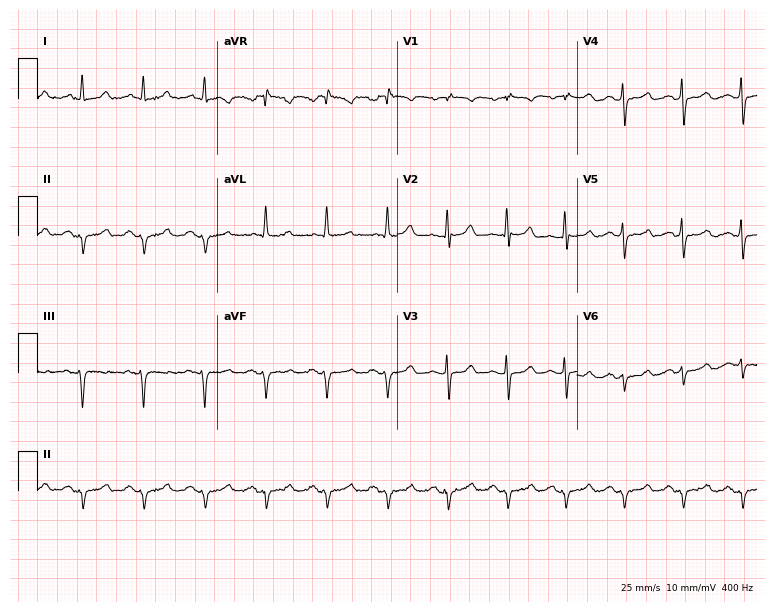
Standard 12-lead ECG recorded from a male patient, 61 years old (7.3-second recording at 400 Hz). None of these six findings is recorded: first-degree AV block, right bundle branch block, left bundle branch block, sinus bradycardia, atrial fibrillation, sinus tachycardia.